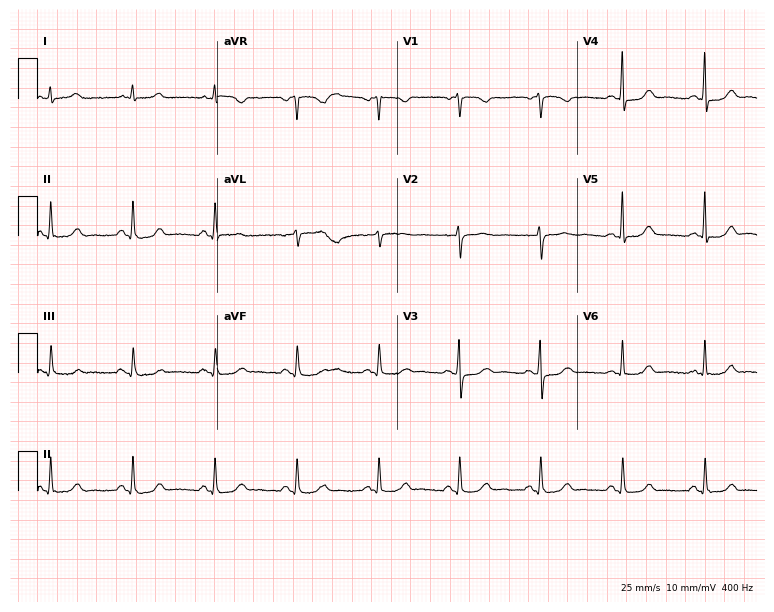
12-lead ECG from a 53-year-old woman (7.3-second recording at 400 Hz). No first-degree AV block, right bundle branch block, left bundle branch block, sinus bradycardia, atrial fibrillation or sinus tachycardia recorded for this tracing.